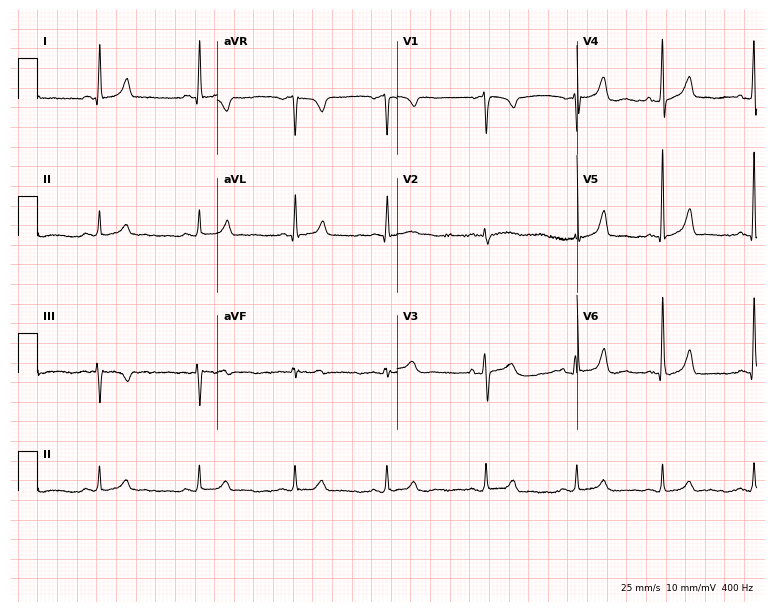
Resting 12-lead electrocardiogram (7.3-second recording at 400 Hz). Patient: a male, 28 years old. Read as a normal ECG.